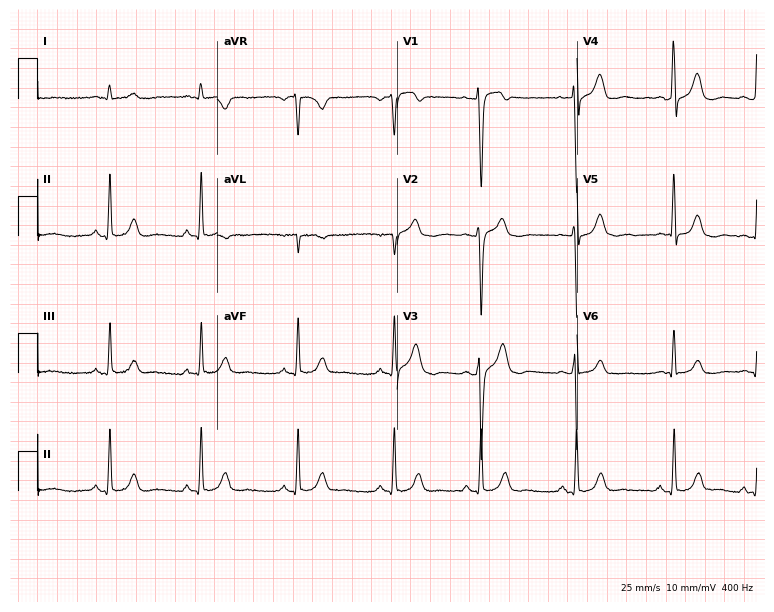
ECG (7.3-second recording at 400 Hz) — a 31-year-old male. Labelled as a normal ECG.